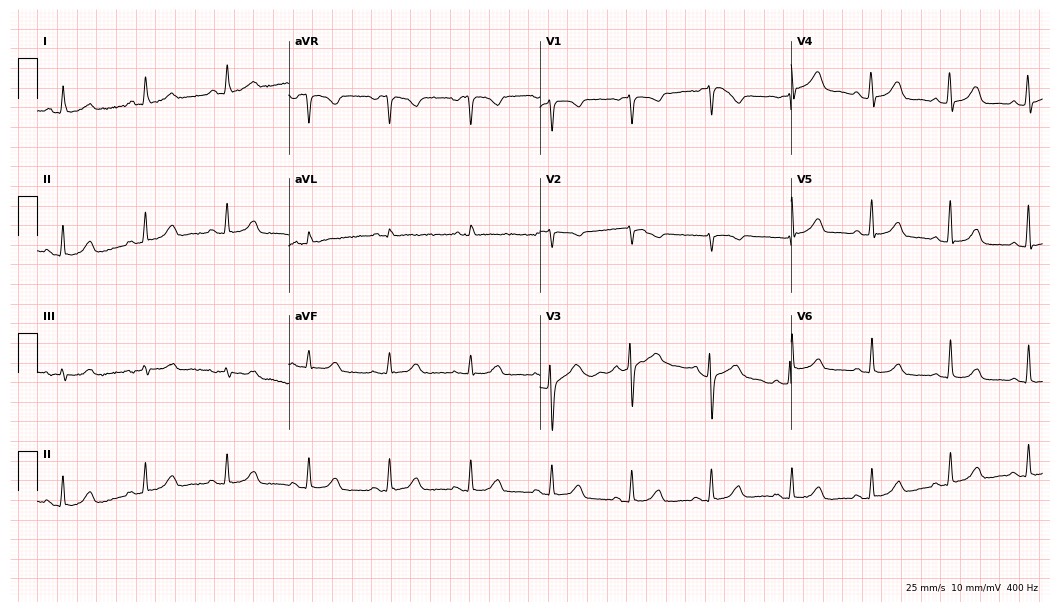
Resting 12-lead electrocardiogram. Patient: a 71-year-old female. Read as a normal ECG.